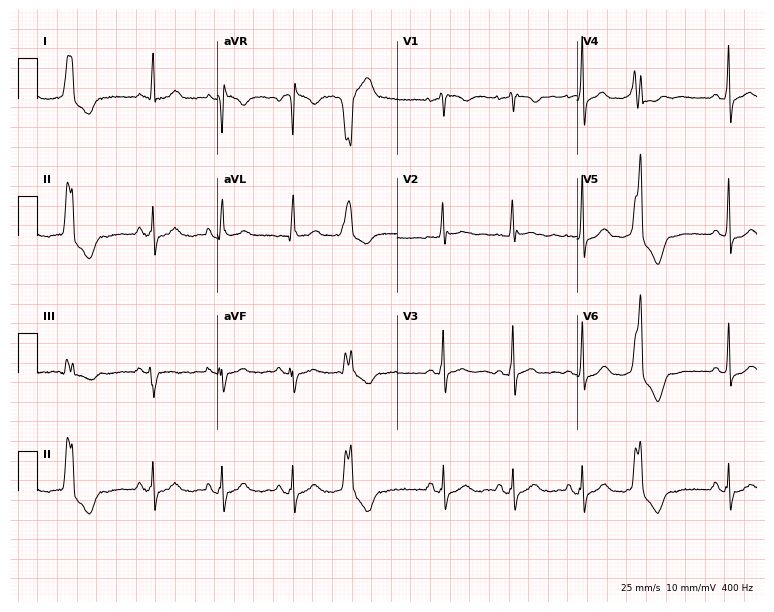
Electrocardiogram, a 46-year-old female. Of the six screened findings (first-degree AV block, right bundle branch block (RBBB), left bundle branch block (LBBB), sinus bradycardia, atrial fibrillation (AF), sinus tachycardia), none is recorded. Findings outside these six are not listed.